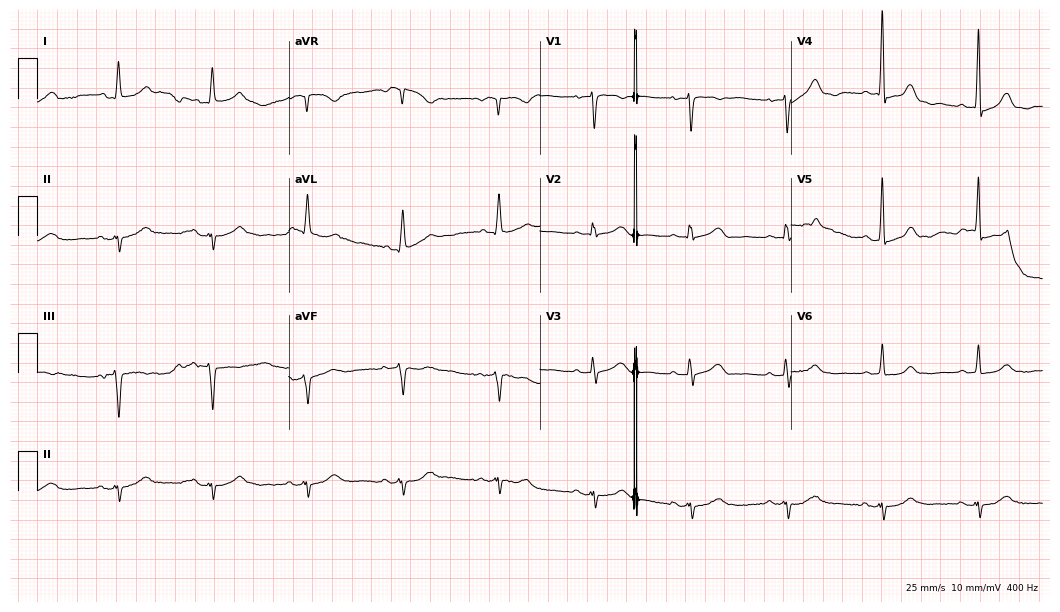
ECG — a female, 83 years old. Screened for six findings — first-degree AV block, right bundle branch block (RBBB), left bundle branch block (LBBB), sinus bradycardia, atrial fibrillation (AF), sinus tachycardia — none is recorded. Other findings, if any, are not listed.